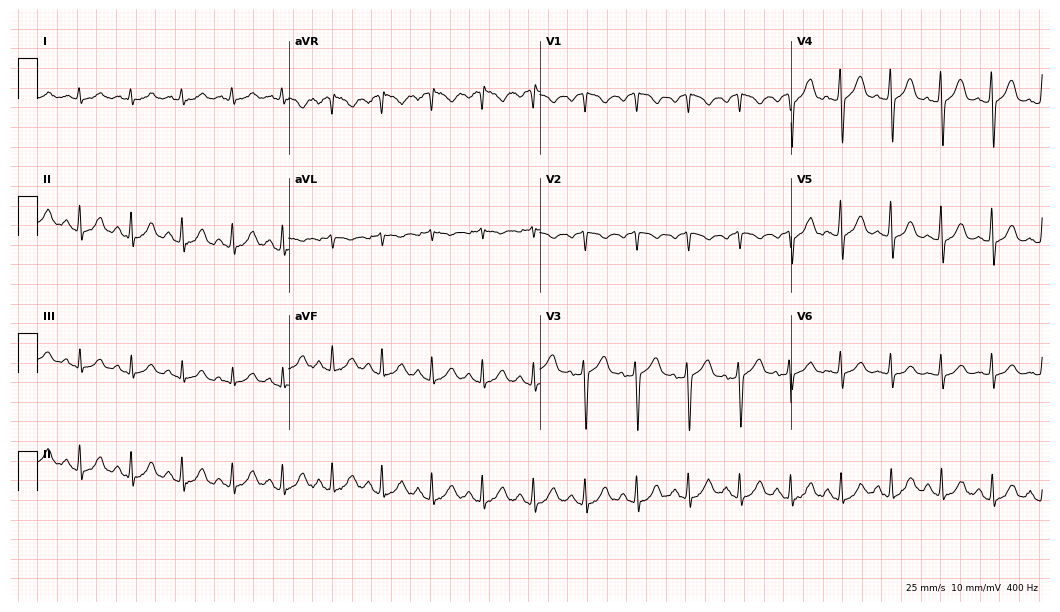
ECG (10.2-second recording at 400 Hz) — a 57-year-old female patient. Findings include sinus tachycardia (a sinus rate of 100 beats per minute or more).